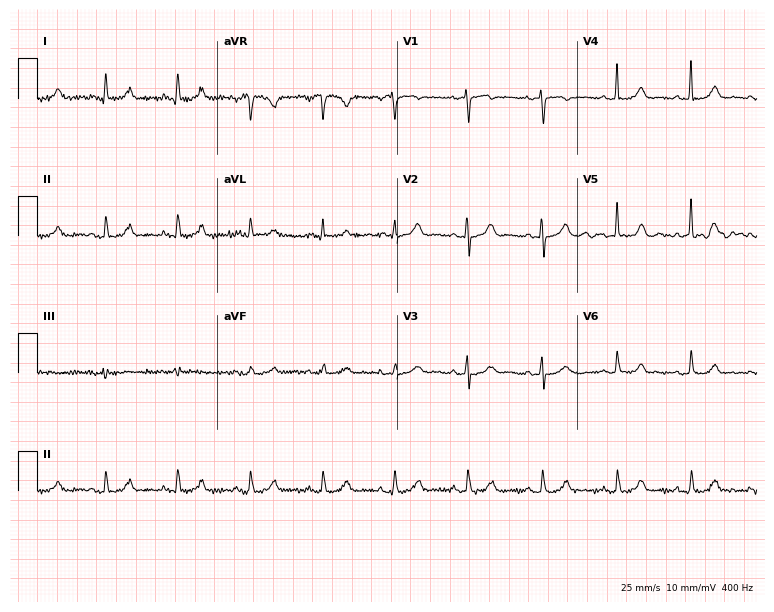
Resting 12-lead electrocardiogram. Patient: a female, 76 years old. Read as a normal ECG.